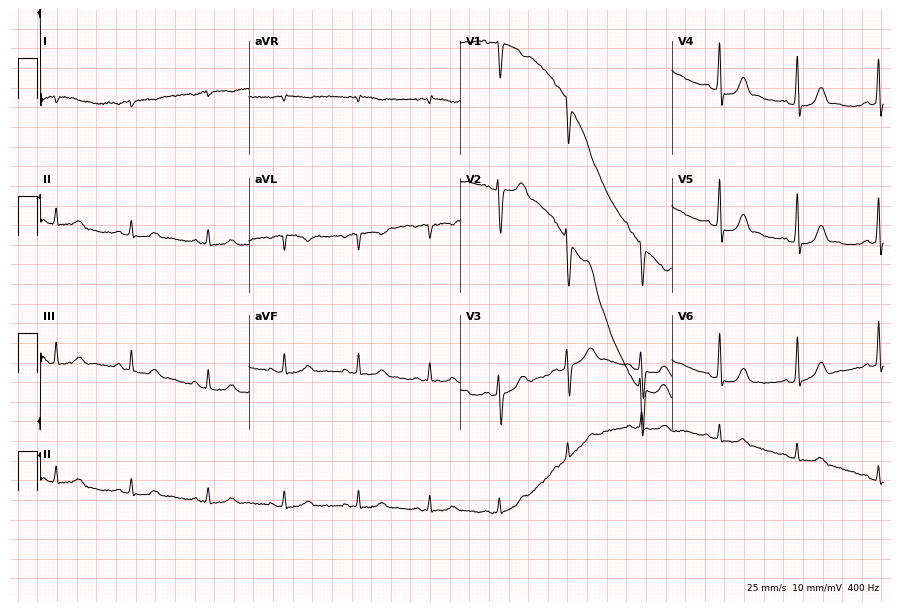
12-lead ECG (8.6-second recording at 400 Hz) from a 35-year-old female. Screened for six findings — first-degree AV block, right bundle branch block, left bundle branch block, sinus bradycardia, atrial fibrillation, sinus tachycardia — none is recorded. Findings outside these six are not listed.